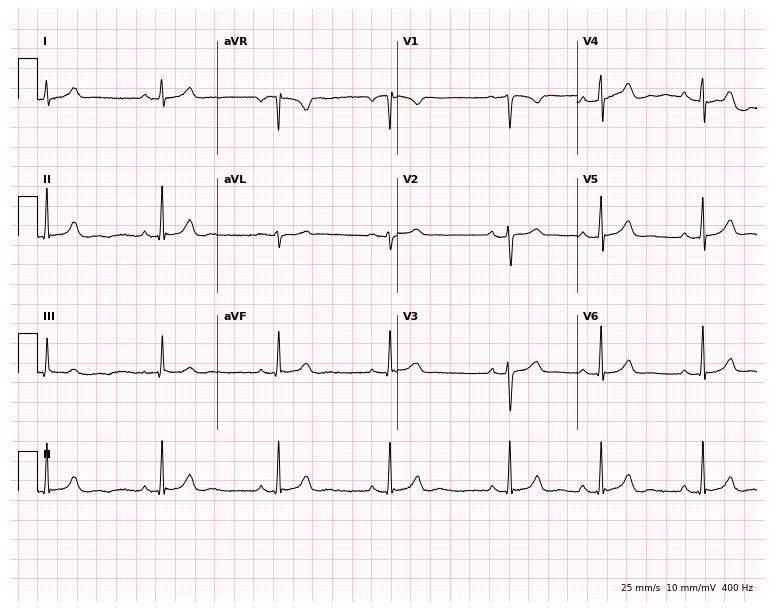
Standard 12-lead ECG recorded from a female, 27 years old. Read as a normal ECG.